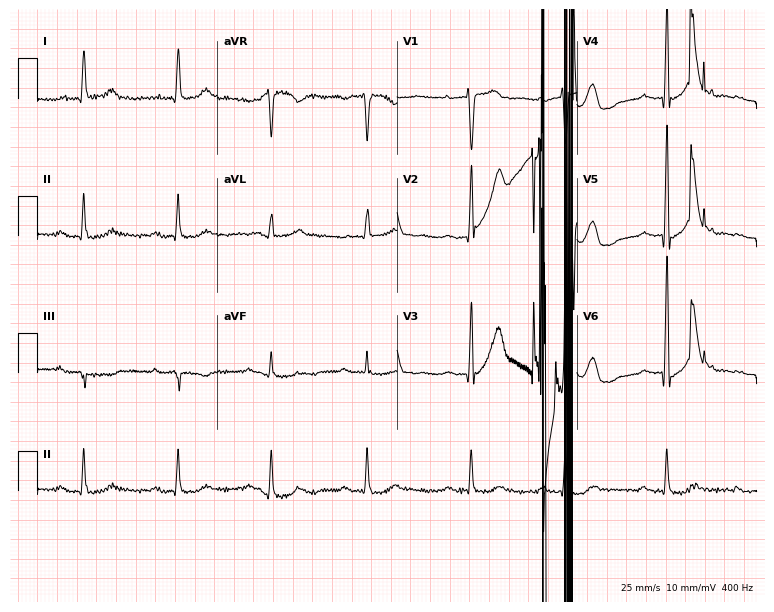
Standard 12-lead ECG recorded from a 70-year-old man. The tracing shows first-degree AV block.